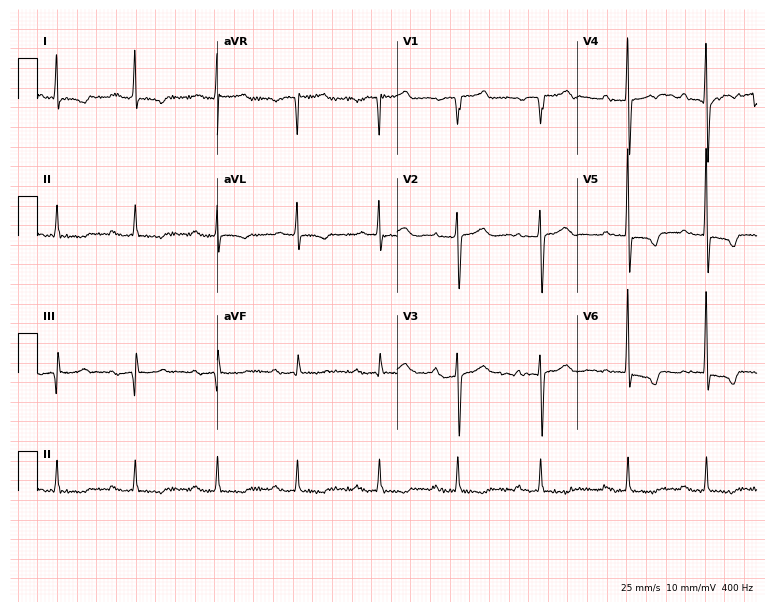
Standard 12-lead ECG recorded from an 80-year-old male patient. The tracing shows first-degree AV block.